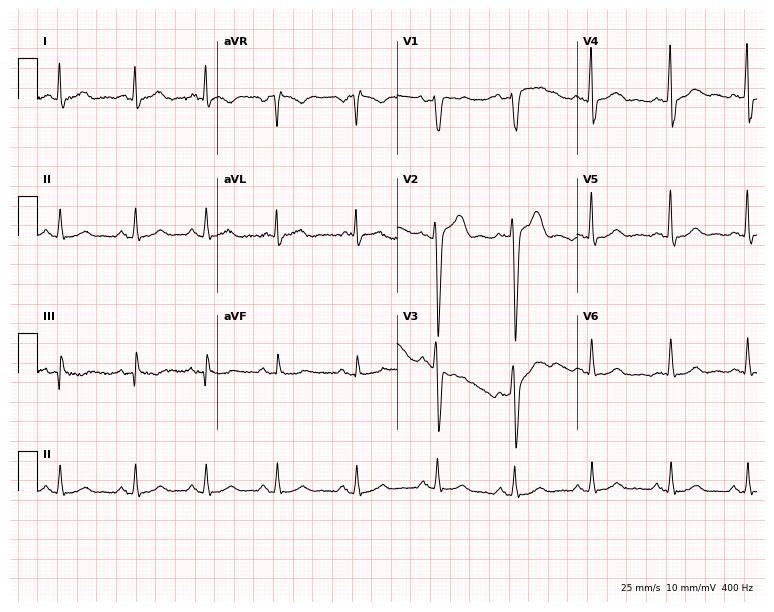
12-lead ECG from a 56-year-old man. Recorded interpretation: within normal limits.